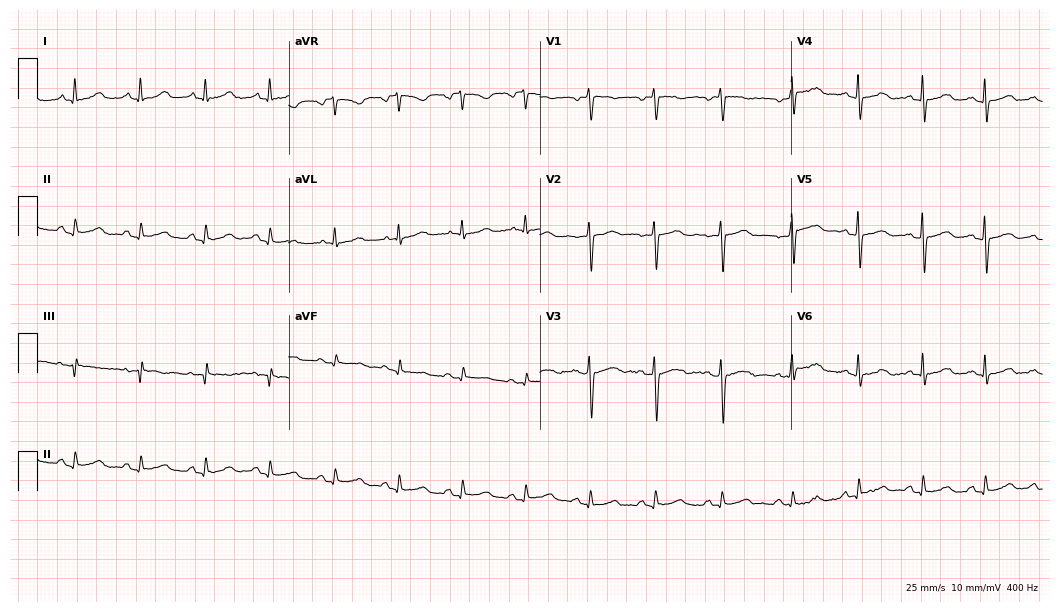
Electrocardiogram (10.2-second recording at 400 Hz), a female, 64 years old. Of the six screened findings (first-degree AV block, right bundle branch block, left bundle branch block, sinus bradycardia, atrial fibrillation, sinus tachycardia), none is recorded. Other findings, if any, are not listed.